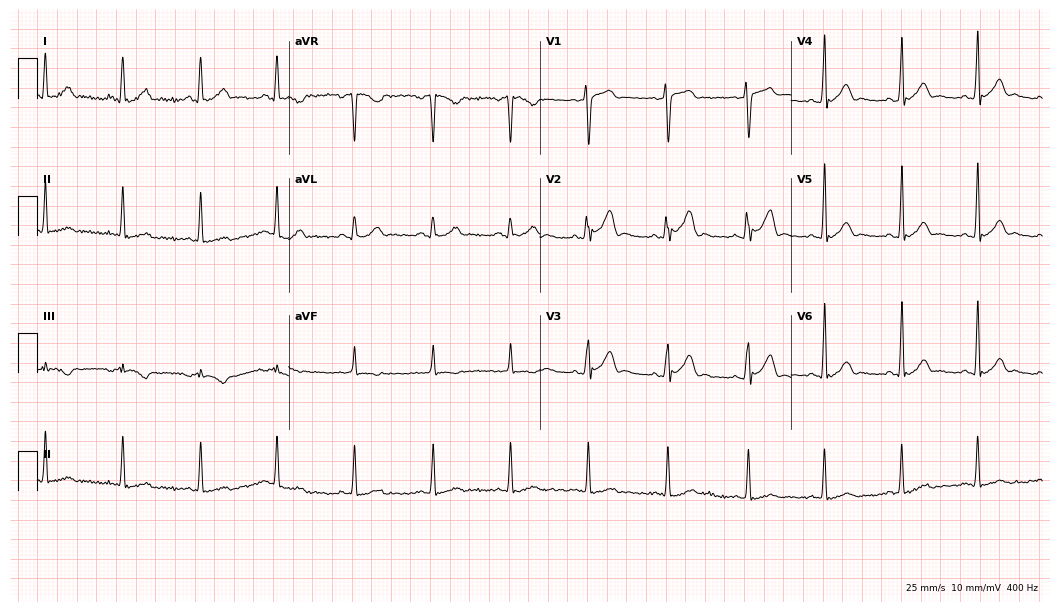
Standard 12-lead ECG recorded from a 17-year-old man (10.2-second recording at 400 Hz). Read as a normal ECG.